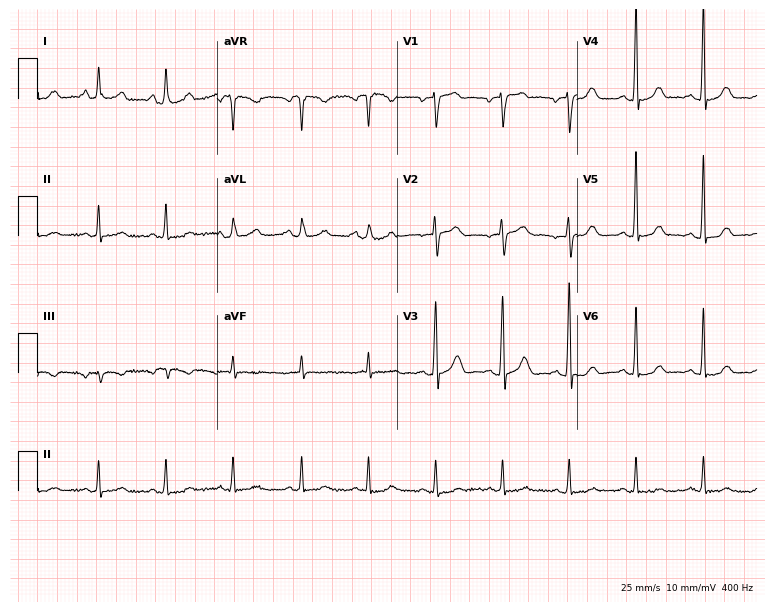
12-lead ECG (7.3-second recording at 400 Hz) from a man, 81 years old. Labelled as a normal ECG.